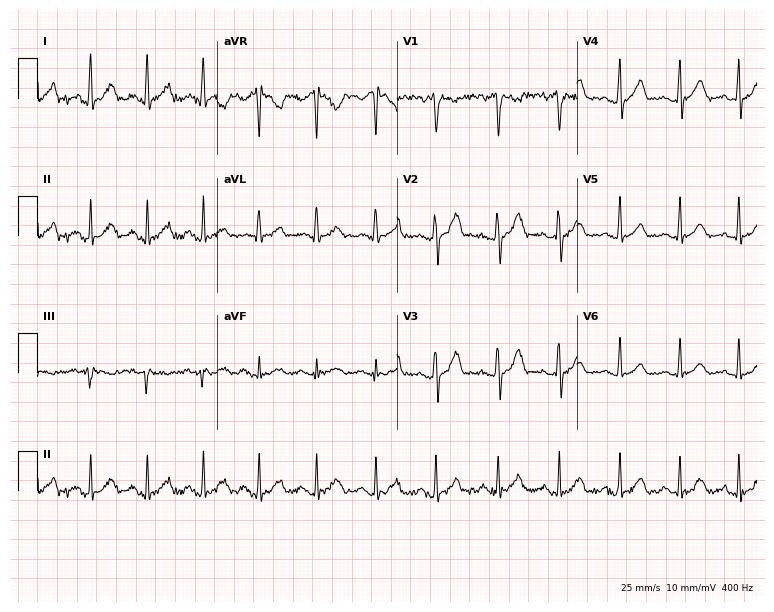
Electrocardiogram, a 35-year-old woman. Of the six screened findings (first-degree AV block, right bundle branch block (RBBB), left bundle branch block (LBBB), sinus bradycardia, atrial fibrillation (AF), sinus tachycardia), none is recorded. Only these six findings were labelled.